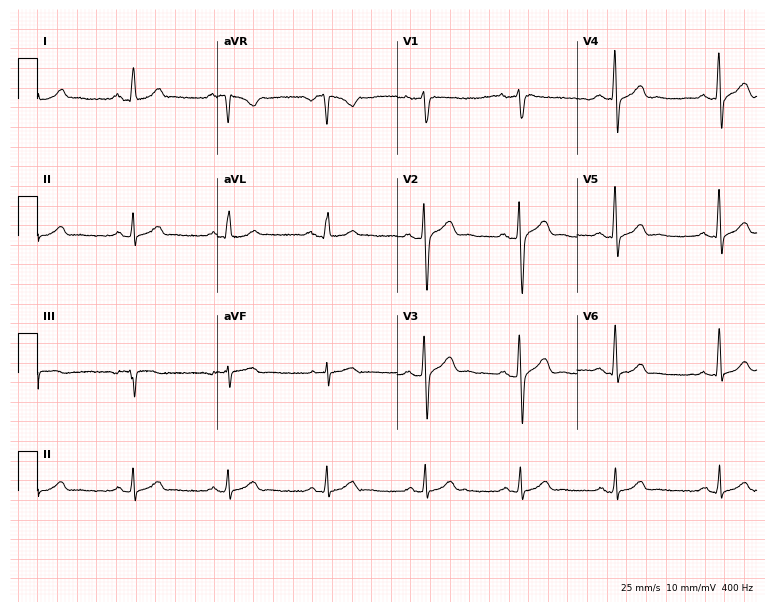
12-lead ECG (7.3-second recording at 400 Hz) from a 32-year-old man. Labelled as a normal ECG.